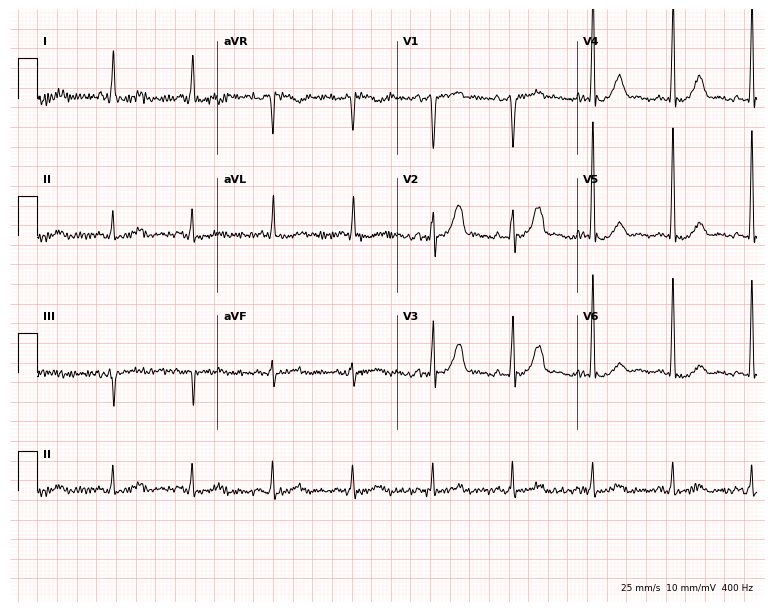
ECG (7.3-second recording at 400 Hz) — a 62-year-old man. Screened for six findings — first-degree AV block, right bundle branch block, left bundle branch block, sinus bradycardia, atrial fibrillation, sinus tachycardia — none is recorded. Other findings, if any, are not listed.